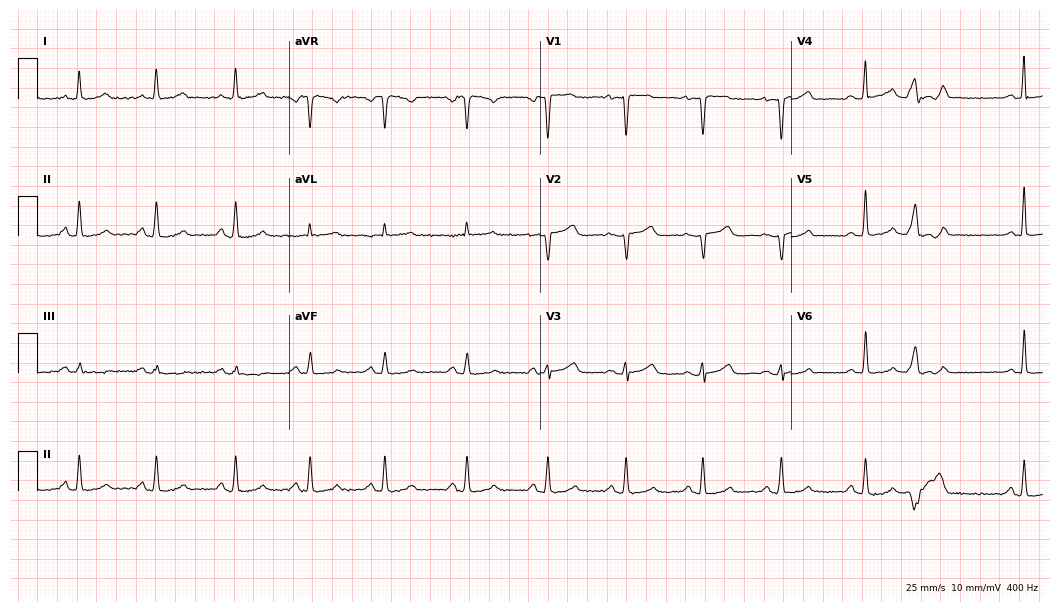
Resting 12-lead electrocardiogram (10.2-second recording at 400 Hz). Patient: a 51-year-old woman. None of these six findings is recorded: first-degree AV block, right bundle branch block, left bundle branch block, sinus bradycardia, atrial fibrillation, sinus tachycardia.